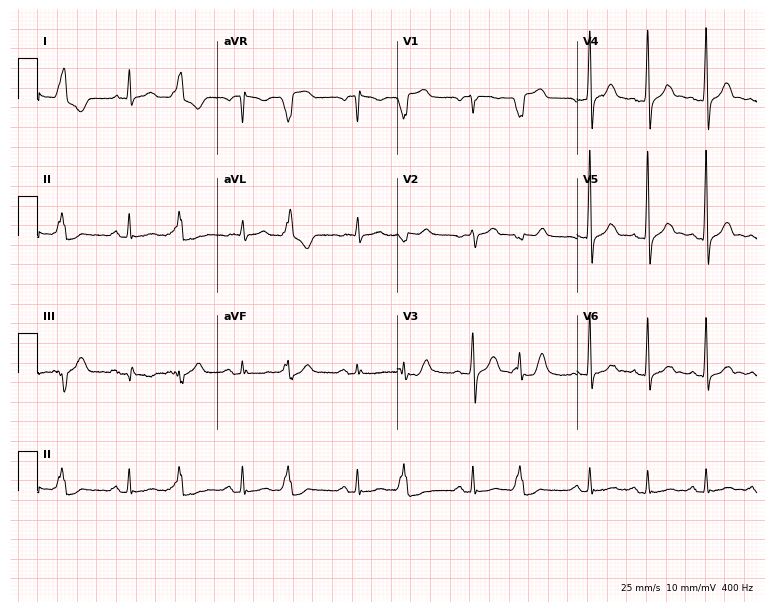
12-lead ECG (7.3-second recording at 400 Hz) from a 62-year-old male. Screened for six findings — first-degree AV block, right bundle branch block (RBBB), left bundle branch block (LBBB), sinus bradycardia, atrial fibrillation (AF), sinus tachycardia — none is recorded.